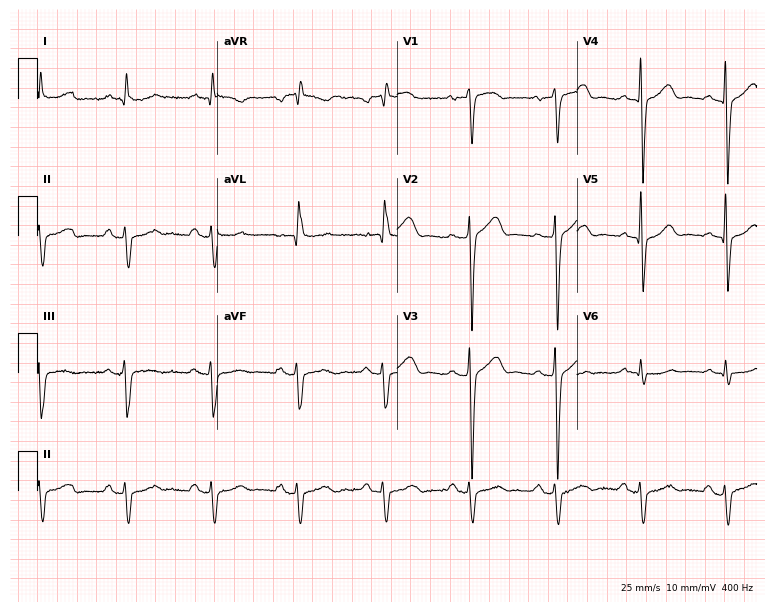
ECG (7.3-second recording at 400 Hz) — an 81-year-old male. Screened for six findings — first-degree AV block, right bundle branch block, left bundle branch block, sinus bradycardia, atrial fibrillation, sinus tachycardia — none is recorded. Findings outside these six are not listed.